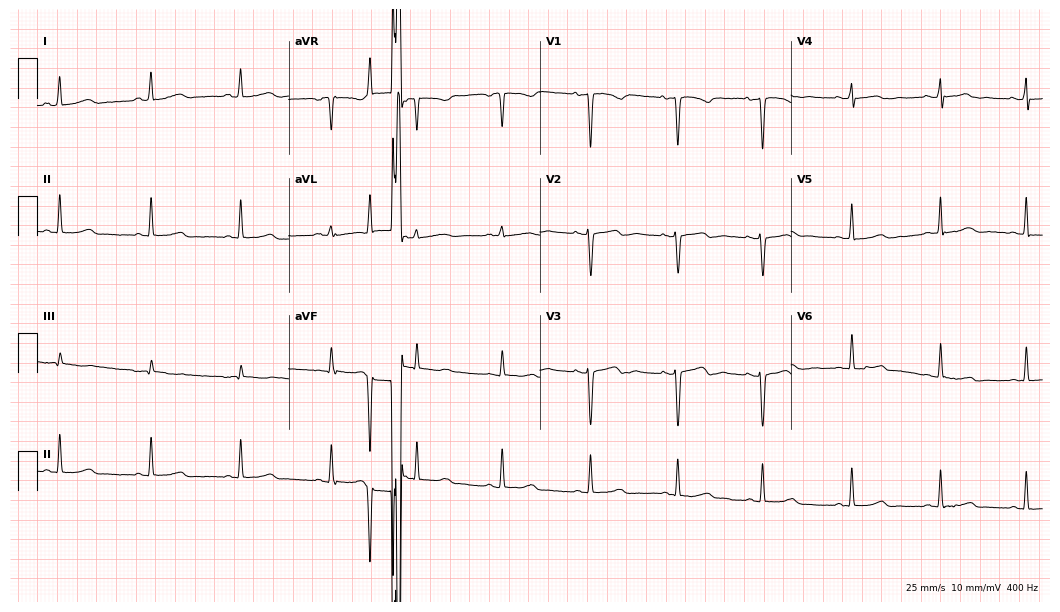
Resting 12-lead electrocardiogram. Patient: a female, 34 years old. None of these six findings is recorded: first-degree AV block, right bundle branch block (RBBB), left bundle branch block (LBBB), sinus bradycardia, atrial fibrillation (AF), sinus tachycardia.